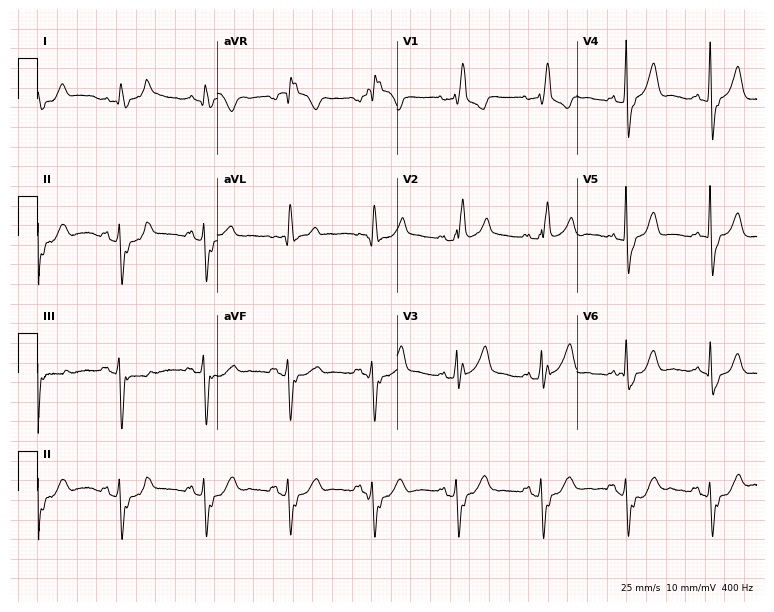
Resting 12-lead electrocardiogram (7.3-second recording at 400 Hz). Patient: a male, 58 years old. The tracing shows right bundle branch block.